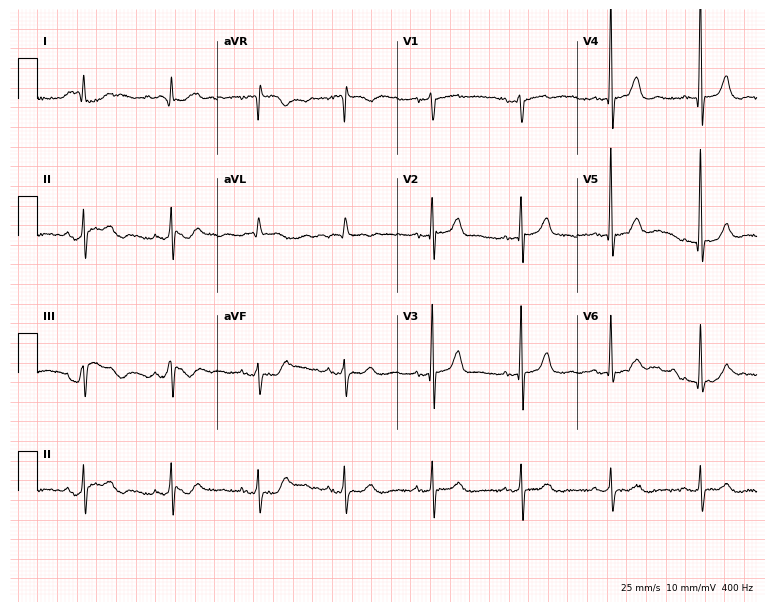
ECG — a man, 82 years old. Screened for six findings — first-degree AV block, right bundle branch block (RBBB), left bundle branch block (LBBB), sinus bradycardia, atrial fibrillation (AF), sinus tachycardia — none is recorded.